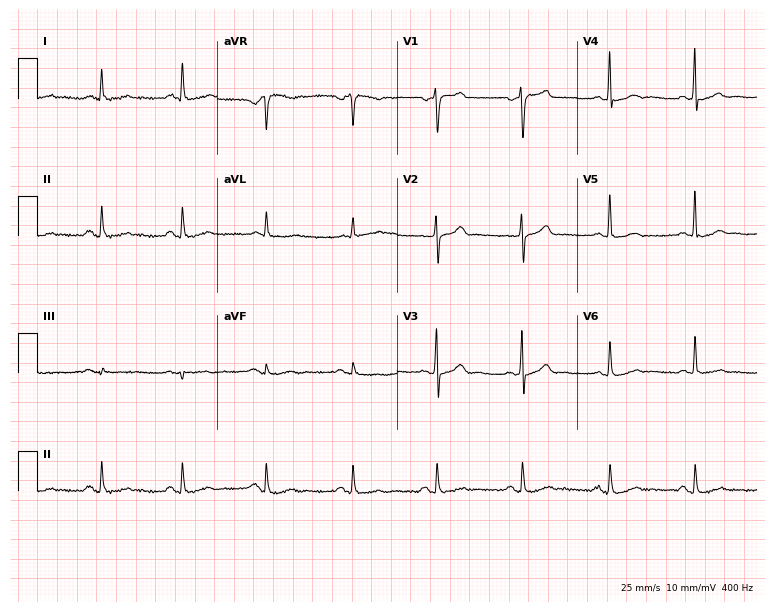
Standard 12-lead ECG recorded from a man, 54 years old. None of these six findings is recorded: first-degree AV block, right bundle branch block (RBBB), left bundle branch block (LBBB), sinus bradycardia, atrial fibrillation (AF), sinus tachycardia.